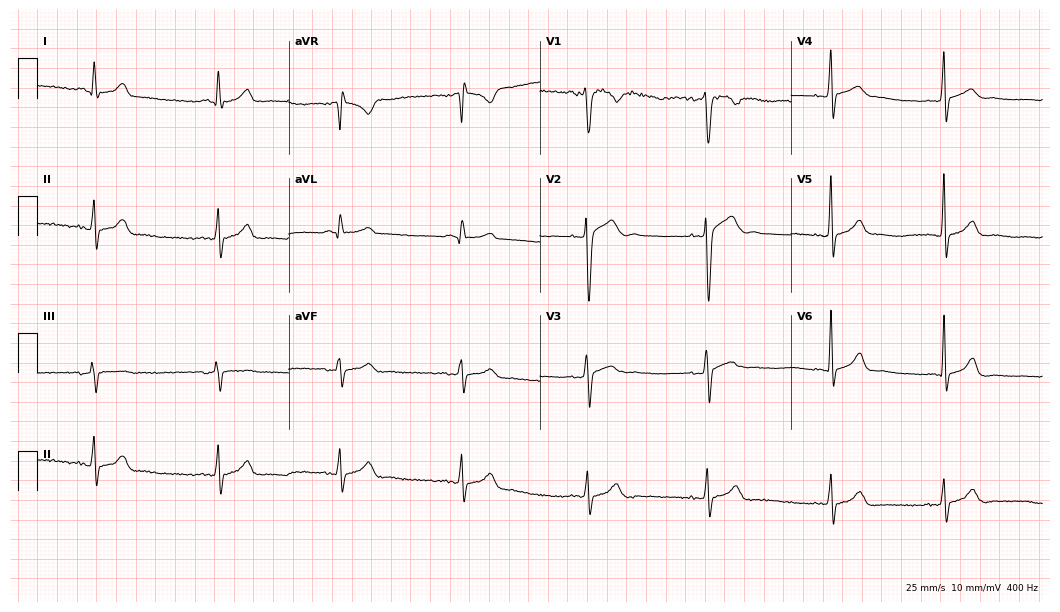
12-lead ECG from a male, 23 years old. Findings include sinus bradycardia (a sinus rate of 50 beats per minute or less).